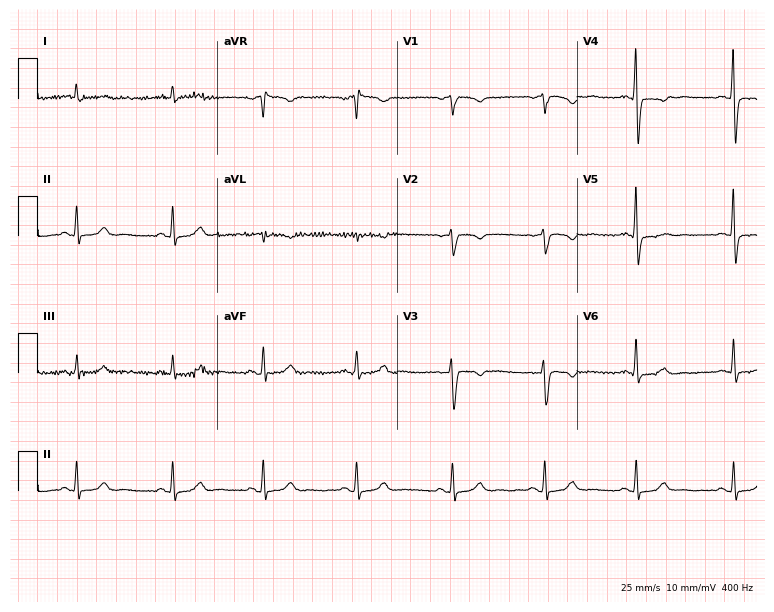
12-lead ECG from a woman, 36 years old. No first-degree AV block, right bundle branch block, left bundle branch block, sinus bradycardia, atrial fibrillation or sinus tachycardia recorded for this tracing. Findings outside these six are not listed.